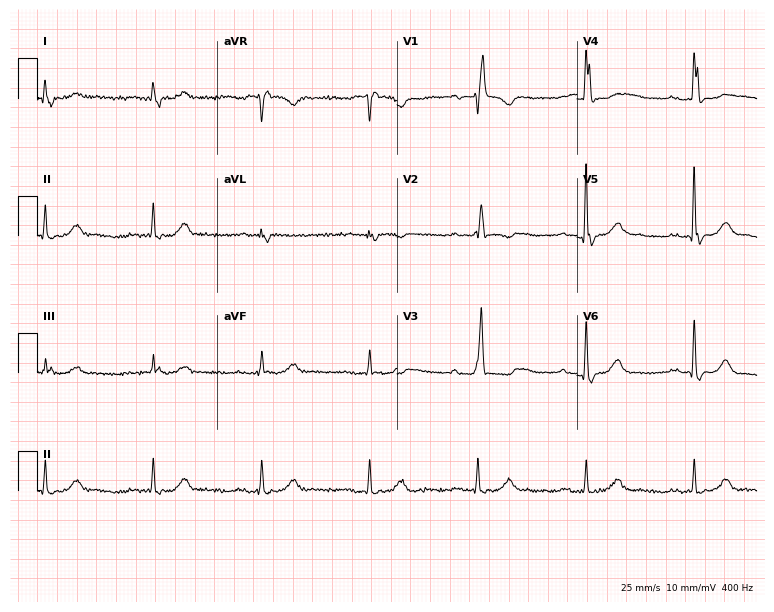
Standard 12-lead ECG recorded from an 85-year-old male patient. The tracing shows right bundle branch block.